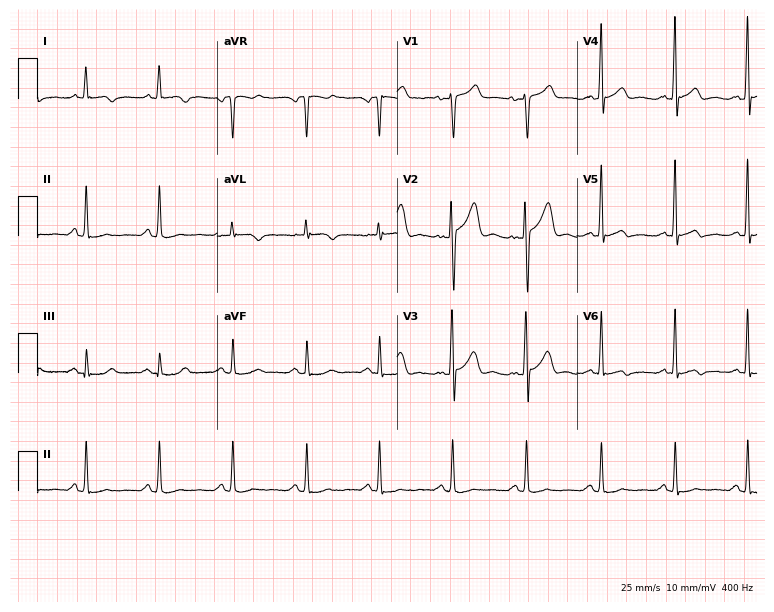
Resting 12-lead electrocardiogram. Patient: a male, 59 years old. None of these six findings is recorded: first-degree AV block, right bundle branch block, left bundle branch block, sinus bradycardia, atrial fibrillation, sinus tachycardia.